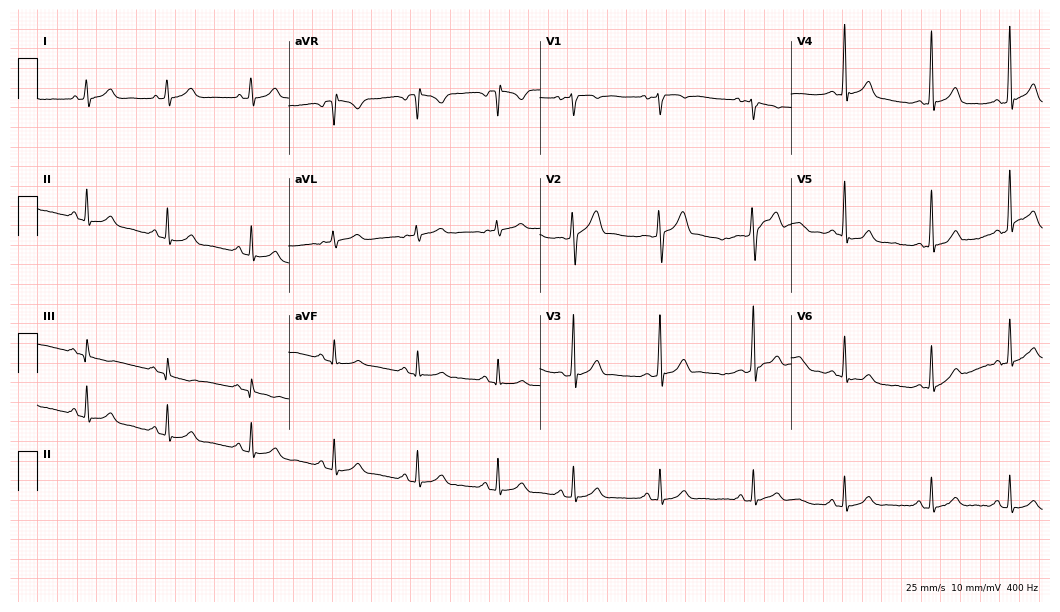
Resting 12-lead electrocardiogram. Patient: a male, 34 years old. Read as a normal ECG.